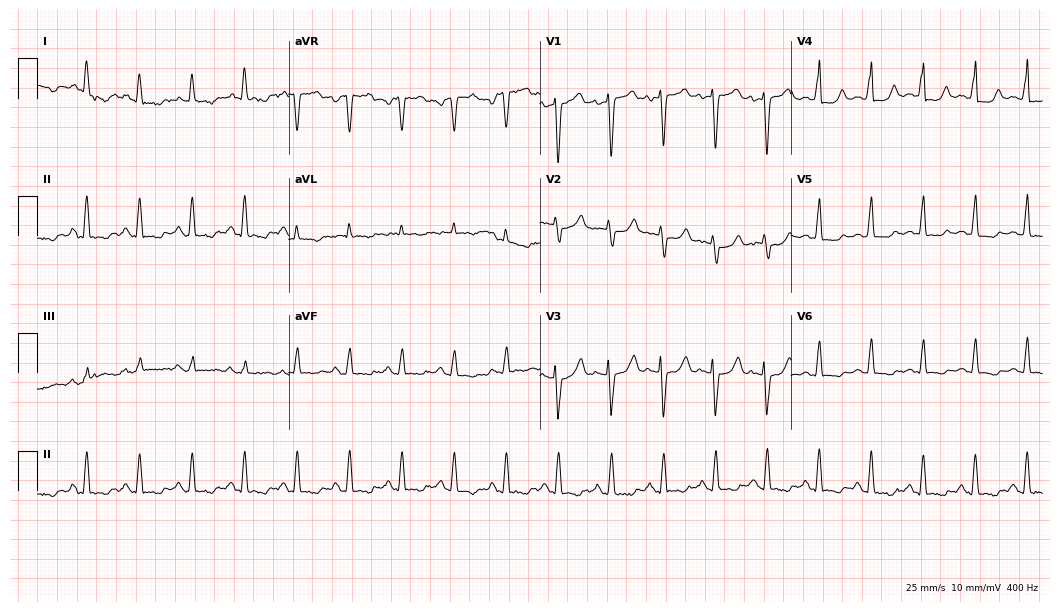
Standard 12-lead ECG recorded from a female, 52 years old. The tracing shows sinus tachycardia (a sinus rate of 100 beats per minute or more).